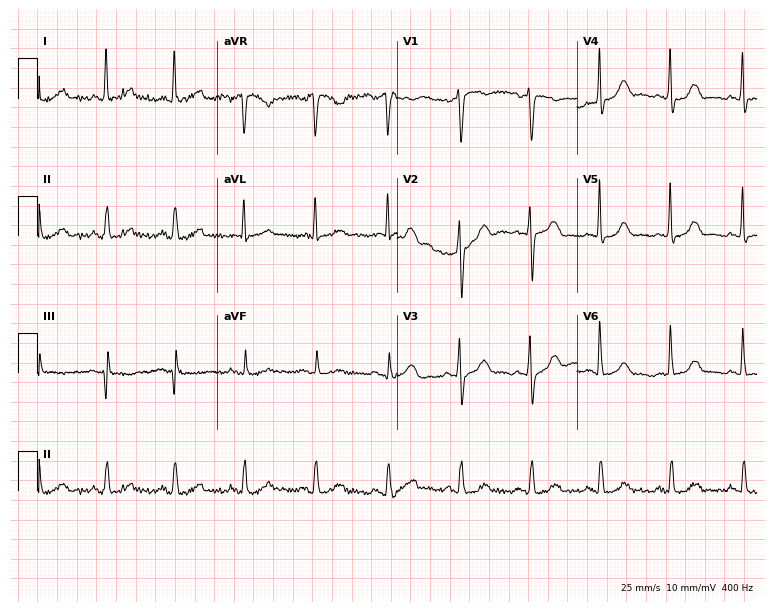
ECG — a female, 56 years old. Screened for six findings — first-degree AV block, right bundle branch block (RBBB), left bundle branch block (LBBB), sinus bradycardia, atrial fibrillation (AF), sinus tachycardia — none is recorded.